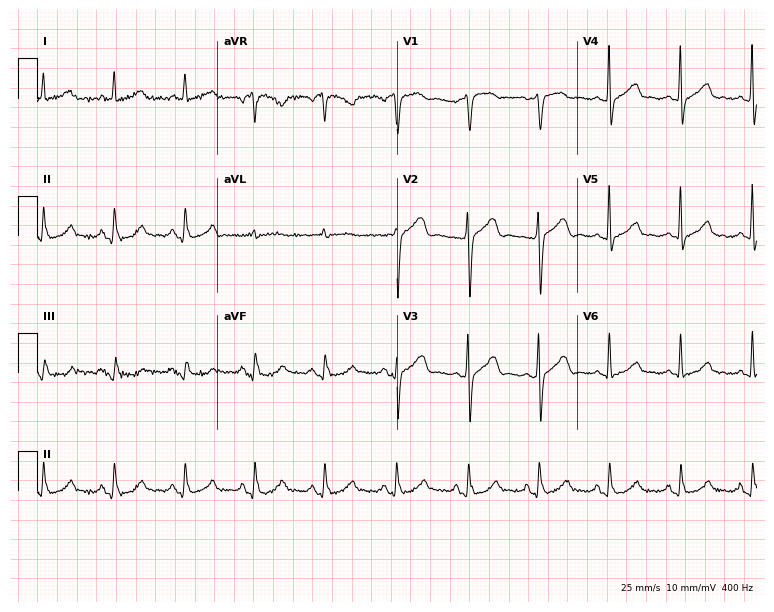
12-lead ECG from a 59-year-old female patient (7.3-second recording at 400 Hz). No first-degree AV block, right bundle branch block (RBBB), left bundle branch block (LBBB), sinus bradycardia, atrial fibrillation (AF) or sinus tachycardia recorded for this tracing. Findings outside these six are not listed.